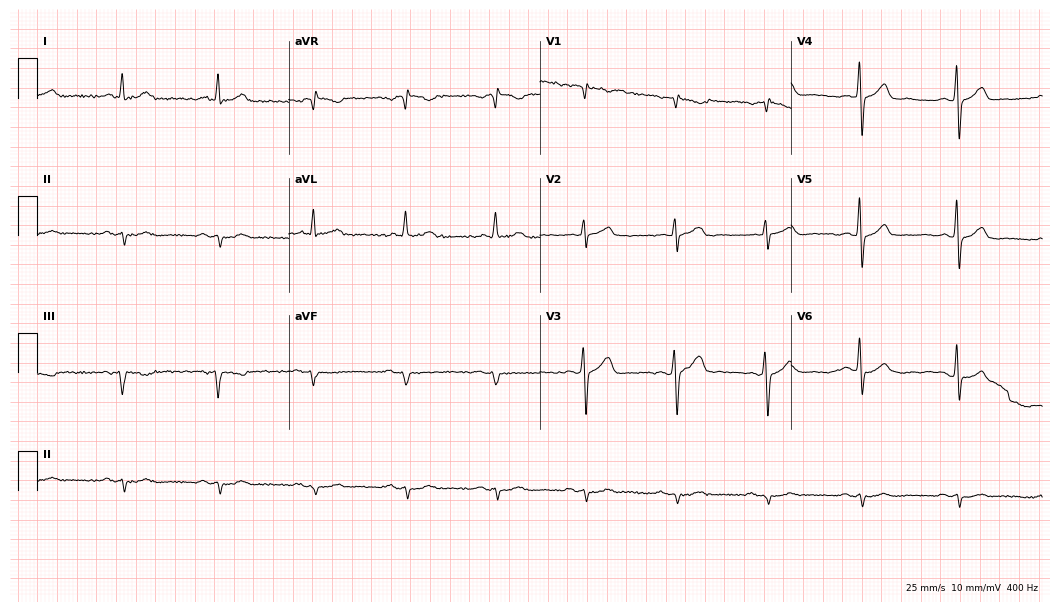
Standard 12-lead ECG recorded from a 69-year-old male patient. None of these six findings is recorded: first-degree AV block, right bundle branch block, left bundle branch block, sinus bradycardia, atrial fibrillation, sinus tachycardia.